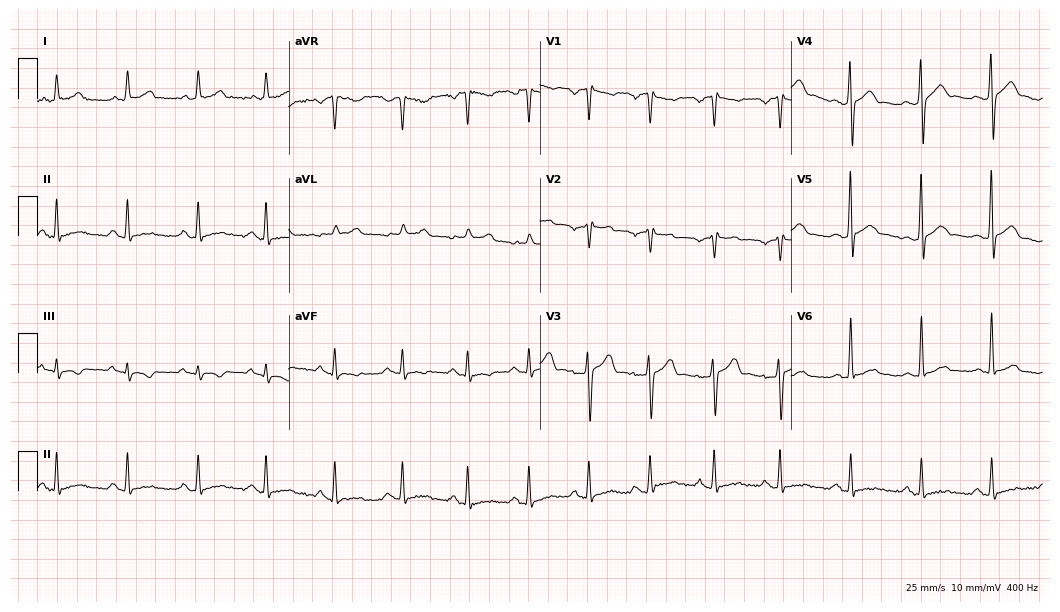
Resting 12-lead electrocardiogram (10.2-second recording at 400 Hz). Patient: a 32-year-old man. Read as a normal ECG.